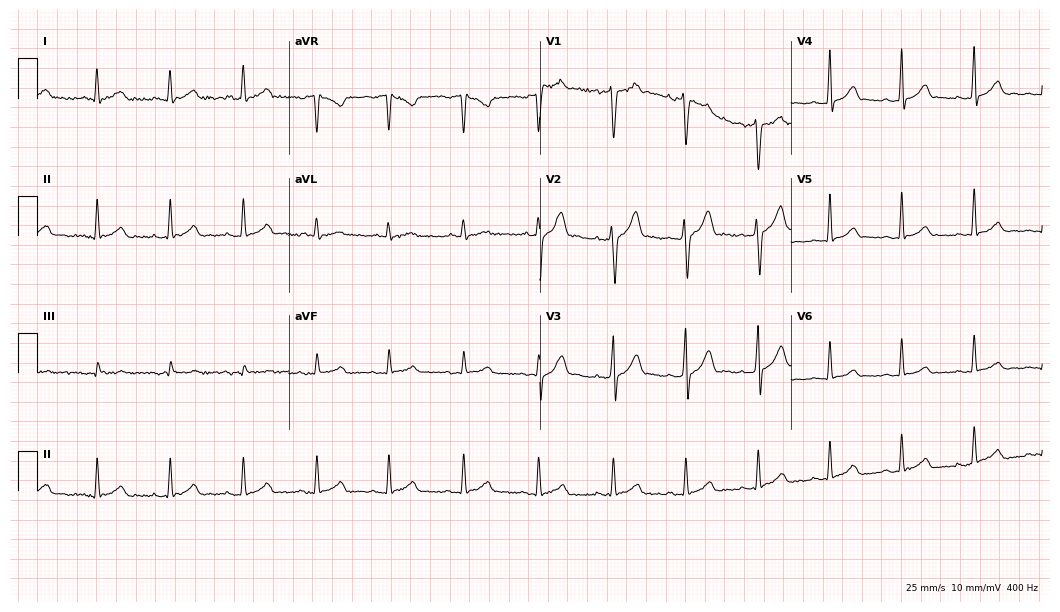
ECG — a 26-year-old male. Labelled as a normal ECG.